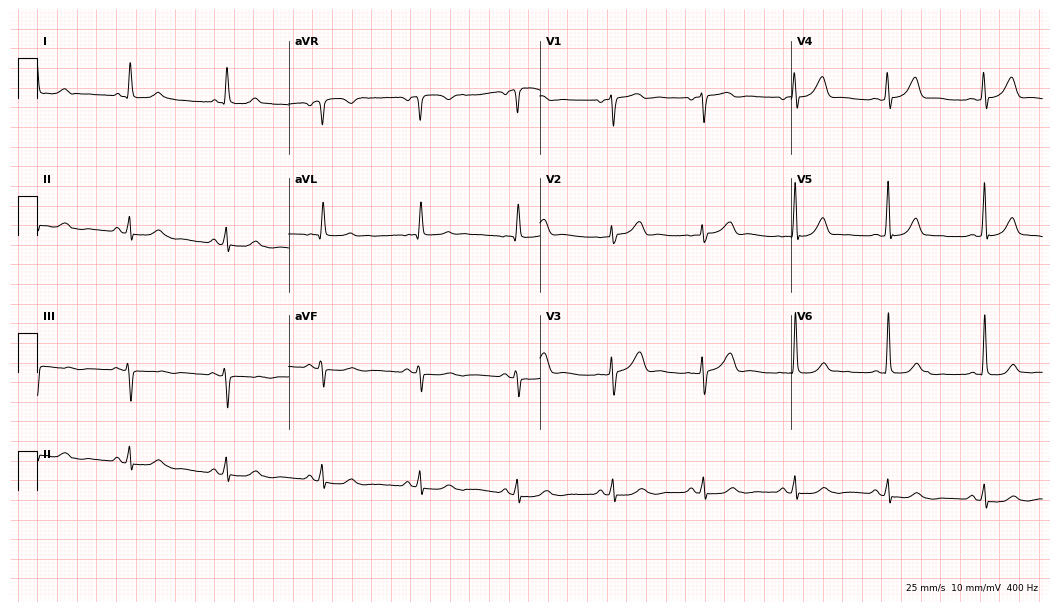
Standard 12-lead ECG recorded from a woman, 64 years old (10.2-second recording at 400 Hz). Read as a normal ECG.